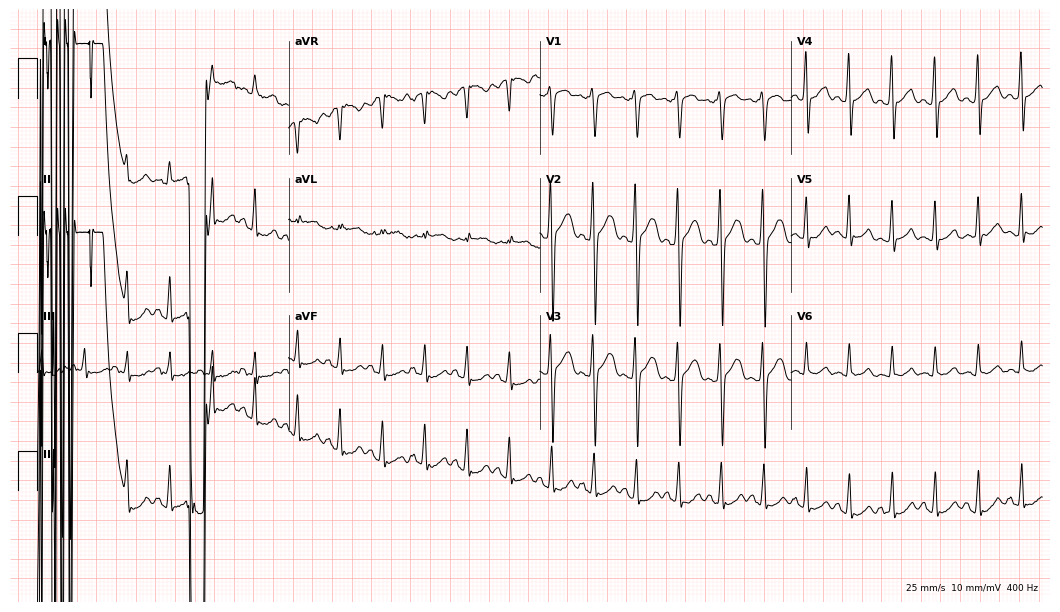
Standard 12-lead ECG recorded from a man, 43 years old. The tracing shows atrial fibrillation.